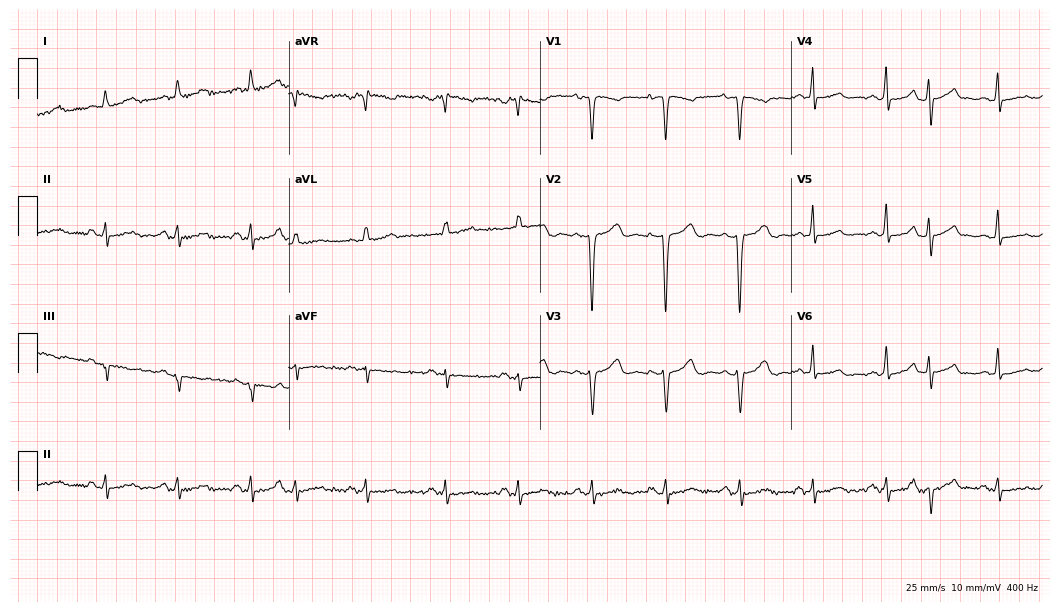
12-lead ECG from a female, 52 years old. No first-degree AV block, right bundle branch block (RBBB), left bundle branch block (LBBB), sinus bradycardia, atrial fibrillation (AF) or sinus tachycardia recorded for this tracing. Only these six findings were labelled.